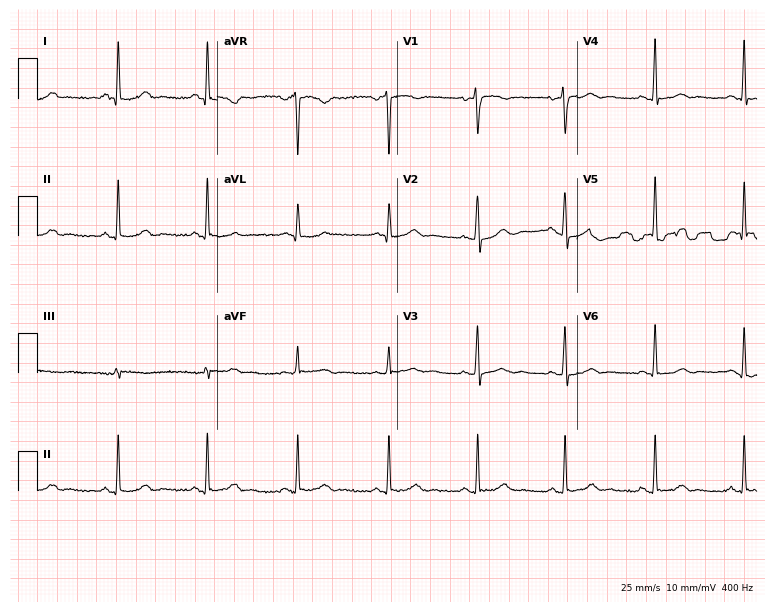
Resting 12-lead electrocardiogram. Patient: a female, 47 years old. None of these six findings is recorded: first-degree AV block, right bundle branch block, left bundle branch block, sinus bradycardia, atrial fibrillation, sinus tachycardia. Other findings, if any, are not listed.